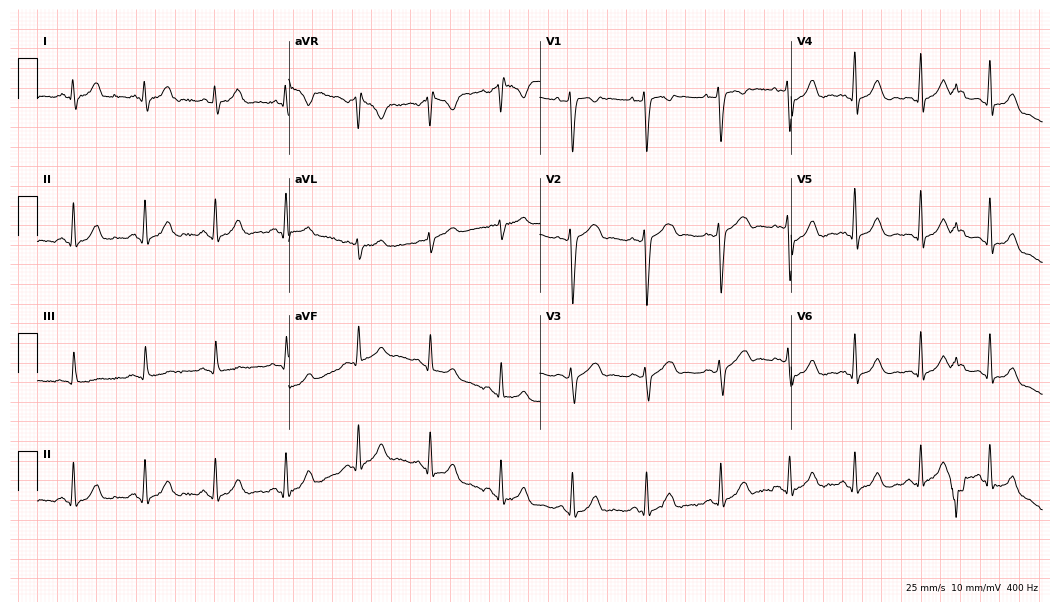
12-lead ECG from a female, 30 years old. Recorded interpretation: within normal limits.